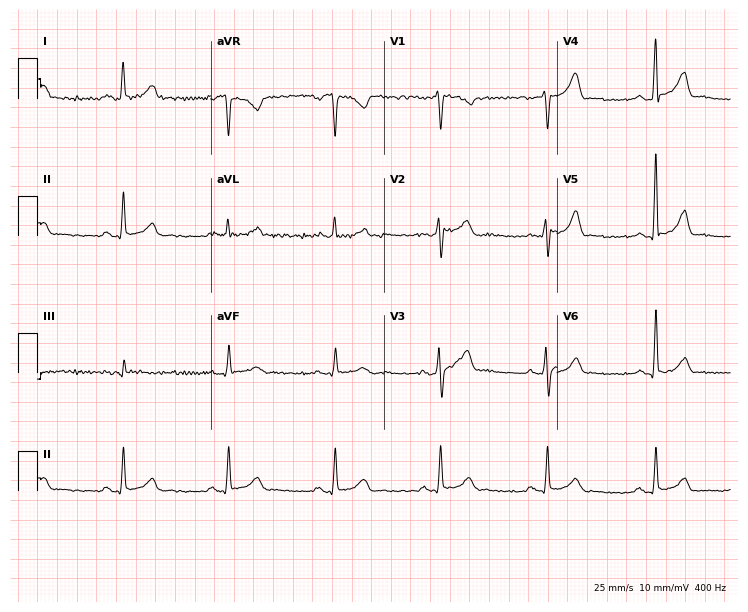
12-lead ECG from a 42-year-old man (7.1-second recording at 400 Hz). No first-degree AV block, right bundle branch block (RBBB), left bundle branch block (LBBB), sinus bradycardia, atrial fibrillation (AF) or sinus tachycardia recorded for this tracing.